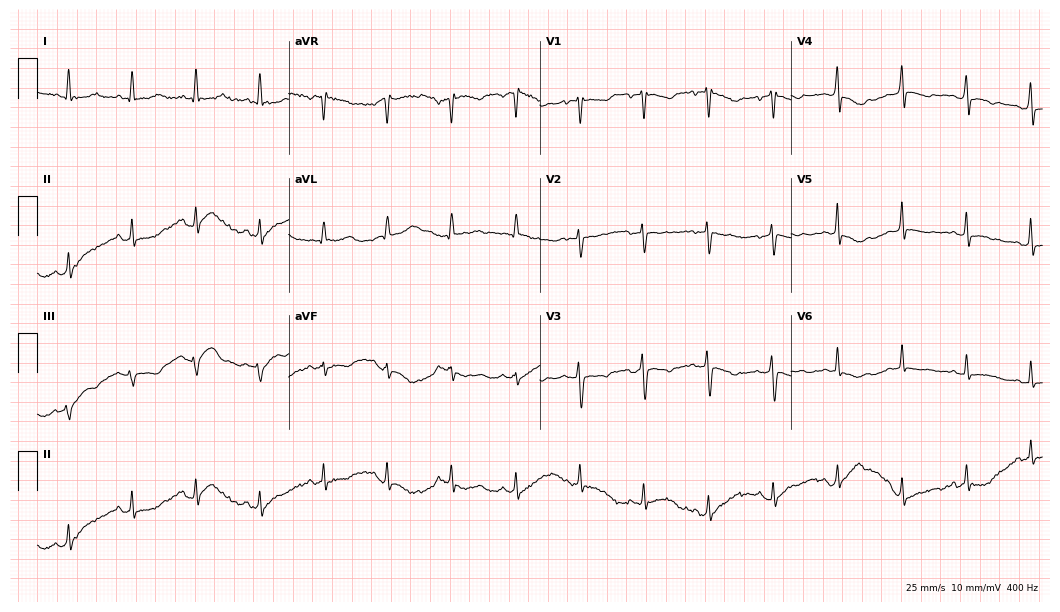
Electrocardiogram (10.2-second recording at 400 Hz), a 43-year-old female patient. Of the six screened findings (first-degree AV block, right bundle branch block (RBBB), left bundle branch block (LBBB), sinus bradycardia, atrial fibrillation (AF), sinus tachycardia), none is recorded. Findings outside these six are not listed.